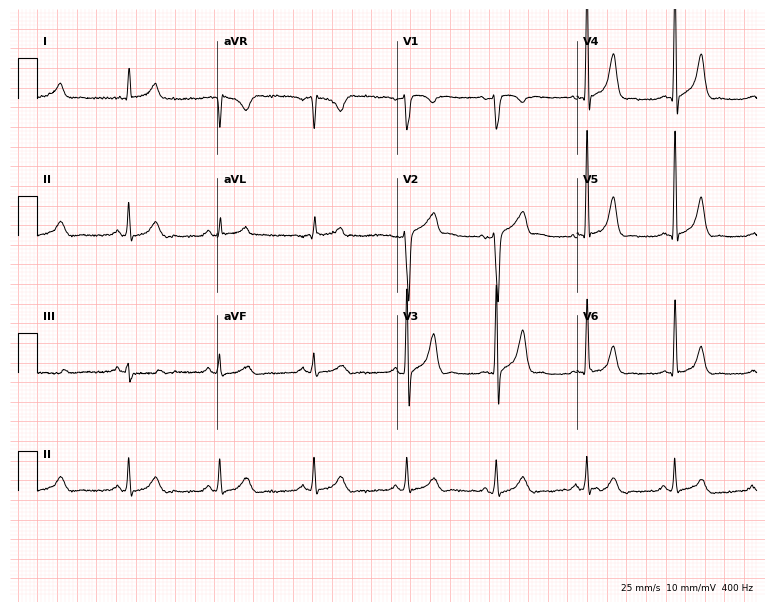
Standard 12-lead ECG recorded from a 54-year-old man (7.3-second recording at 400 Hz). Read as a normal ECG.